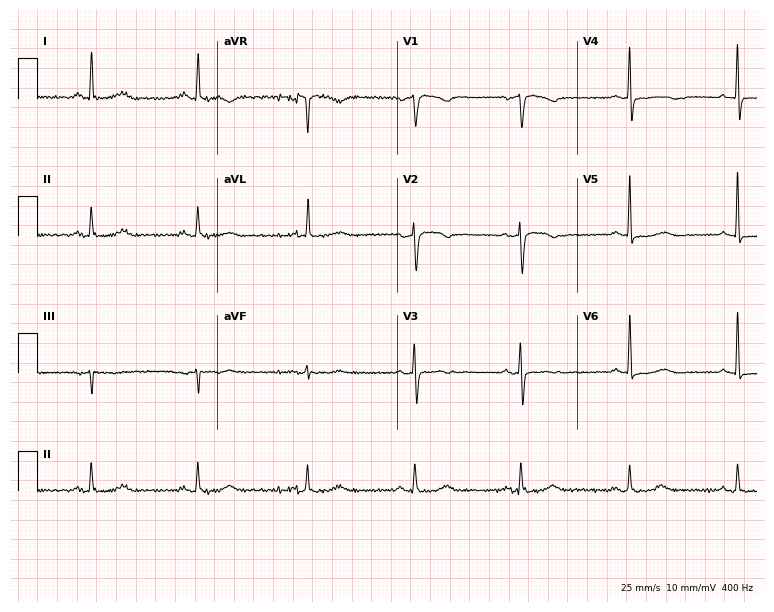
Standard 12-lead ECG recorded from an 82-year-old female. Read as a normal ECG.